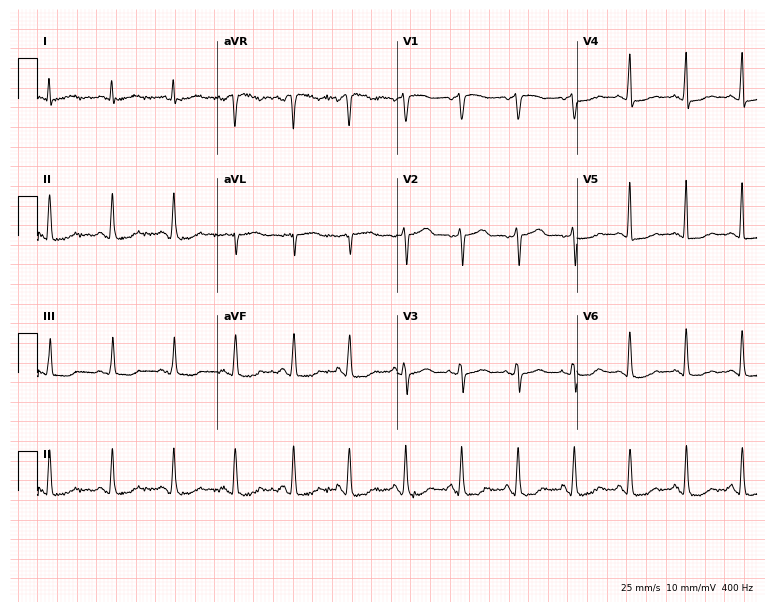
ECG (7.3-second recording at 400 Hz) — a 60-year-old female. Labelled as a normal ECG.